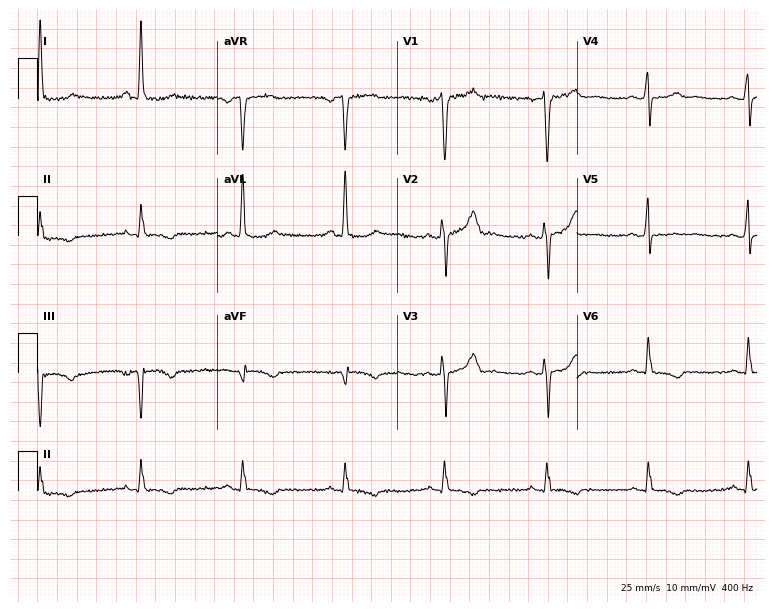
12-lead ECG (7.3-second recording at 400 Hz) from a female, 52 years old. Screened for six findings — first-degree AV block, right bundle branch block, left bundle branch block, sinus bradycardia, atrial fibrillation, sinus tachycardia — none is recorded.